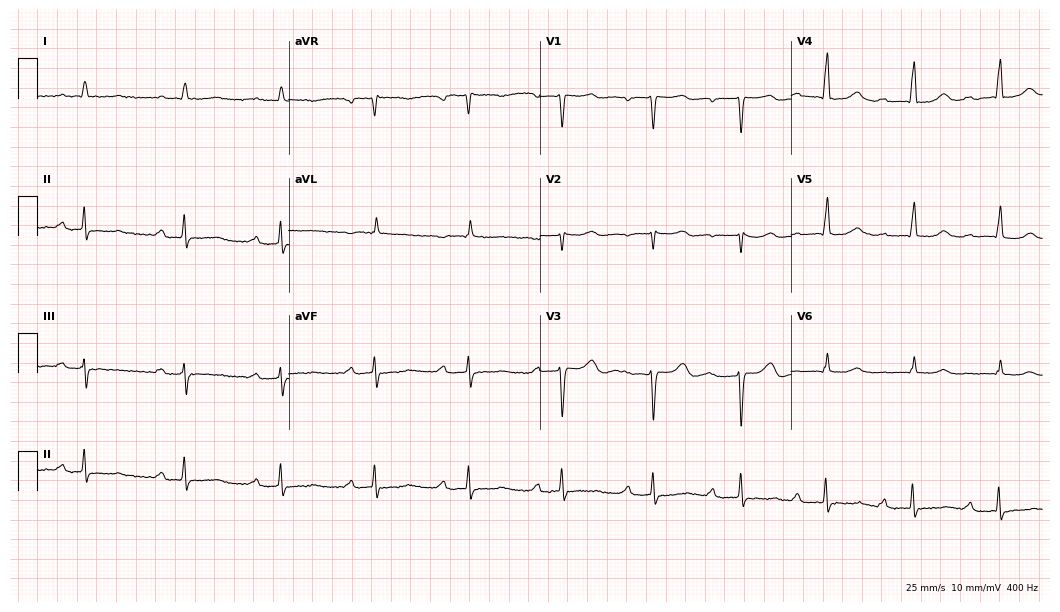
ECG — a male patient, 74 years old. Findings include first-degree AV block.